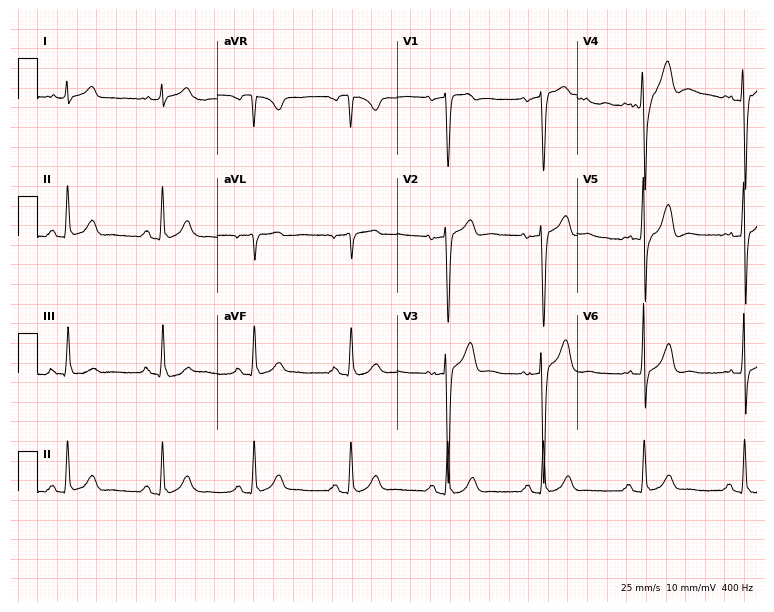
12-lead ECG from a male patient, 53 years old. No first-degree AV block, right bundle branch block, left bundle branch block, sinus bradycardia, atrial fibrillation or sinus tachycardia recorded for this tracing. Findings outside these six are not listed.